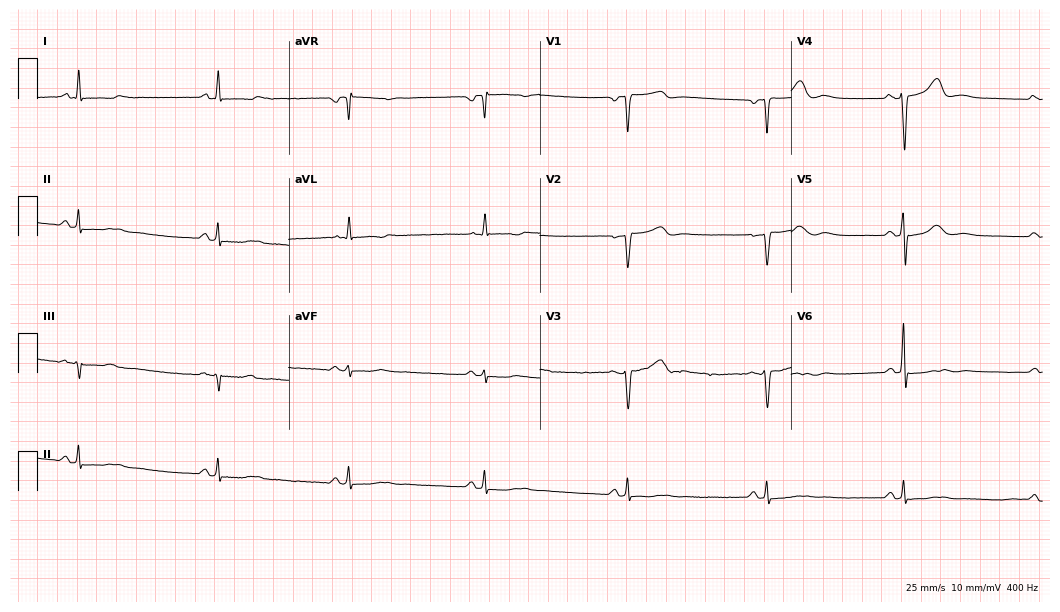
Standard 12-lead ECG recorded from a 75-year-old female patient. The tracing shows sinus bradycardia (a sinus rate of 50 beats per minute or less).